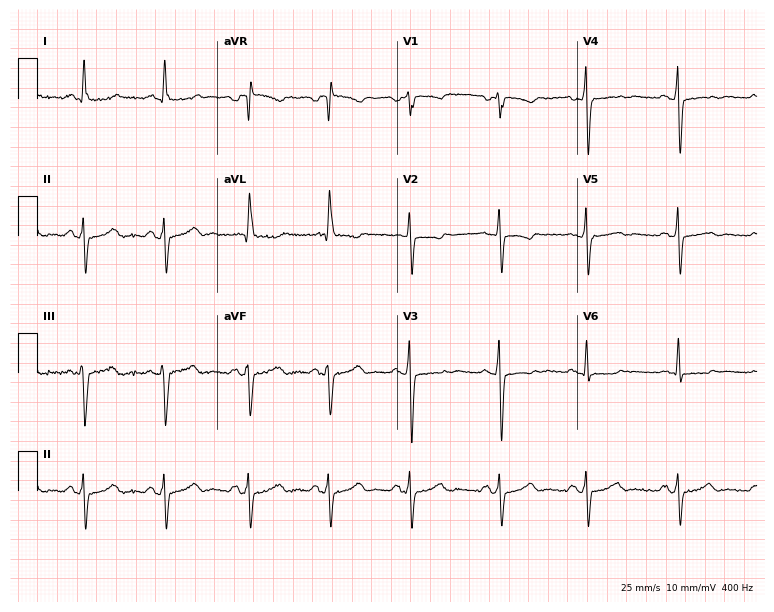
ECG (7.3-second recording at 400 Hz) — a 59-year-old female patient. Screened for six findings — first-degree AV block, right bundle branch block, left bundle branch block, sinus bradycardia, atrial fibrillation, sinus tachycardia — none is recorded.